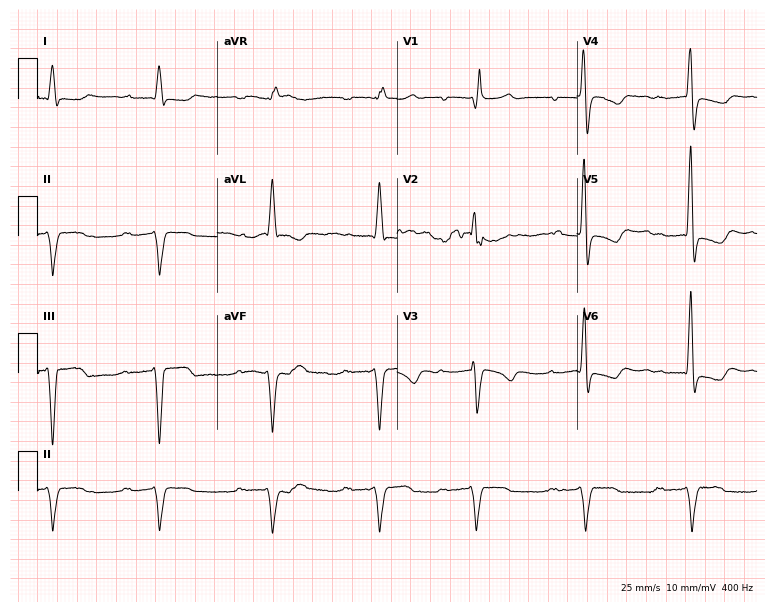
Standard 12-lead ECG recorded from an 85-year-old male. The tracing shows first-degree AV block, right bundle branch block (RBBB).